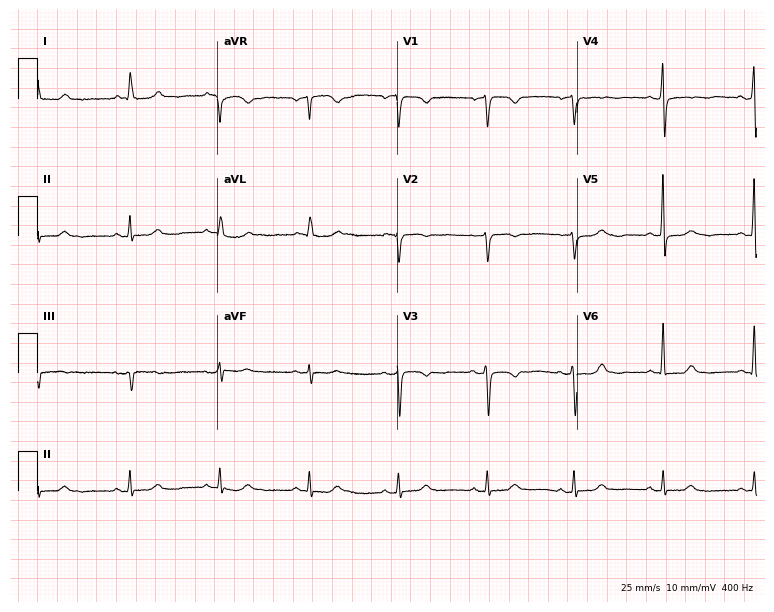
Resting 12-lead electrocardiogram. Patient: a 58-year-old female. None of these six findings is recorded: first-degree AV block, right bundle branch block, left bundle branch block, sinus bradycardia, atrial fibrillation, sinus tachycardia.